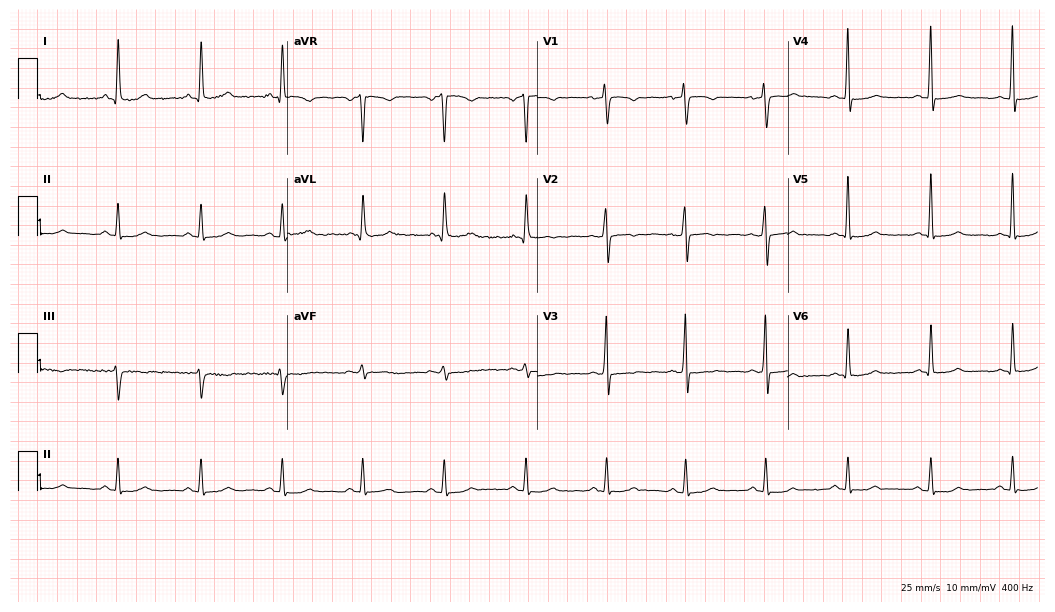
12-lead ECG from a female, 61 years old. Labelled as a normal ECG.